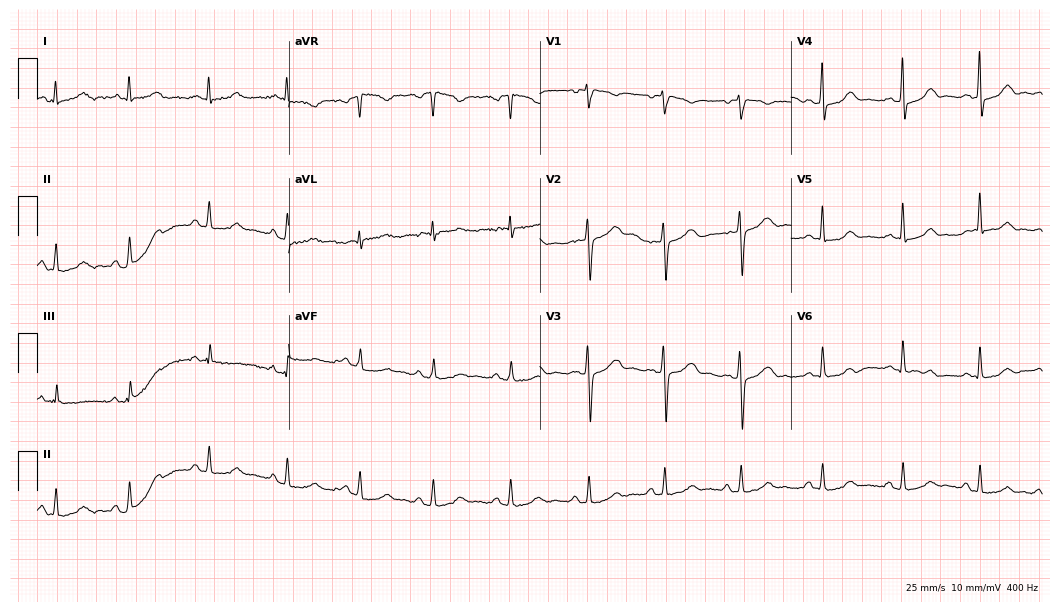
Standard 12-lead ECG recorded from a female, 42 years old. None of these six findings is recorded: first-degree AV block, right bundle branch block, left bundle branch block, sinus bradycardia, atrial fibrillation, sinus tachycardia. Other findings, if any, are not listed.